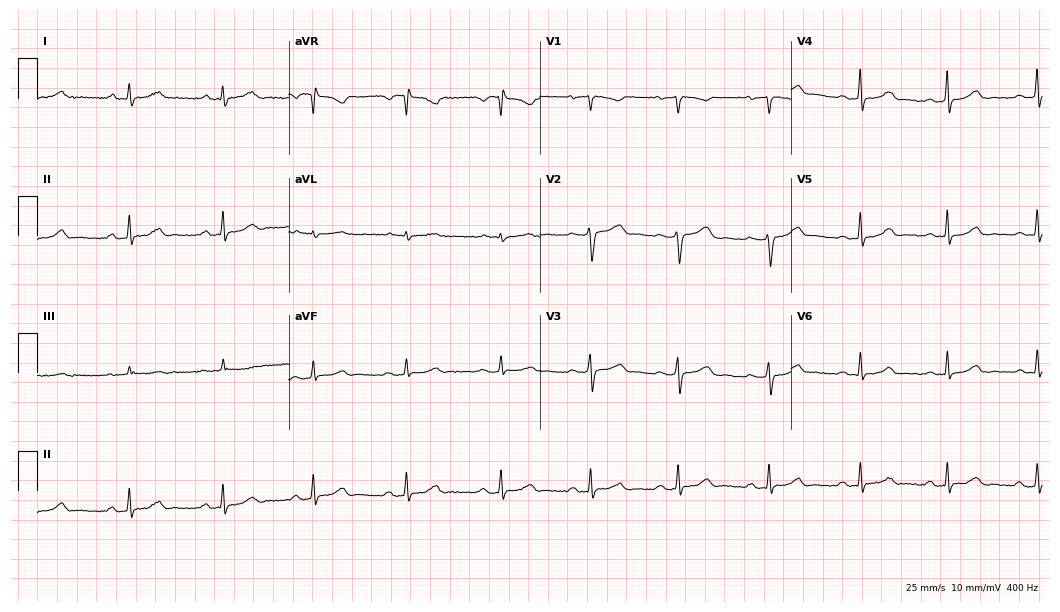
Standard 12-lead ECG recorded from a 34-year-old woman. Read as a normal ECG.